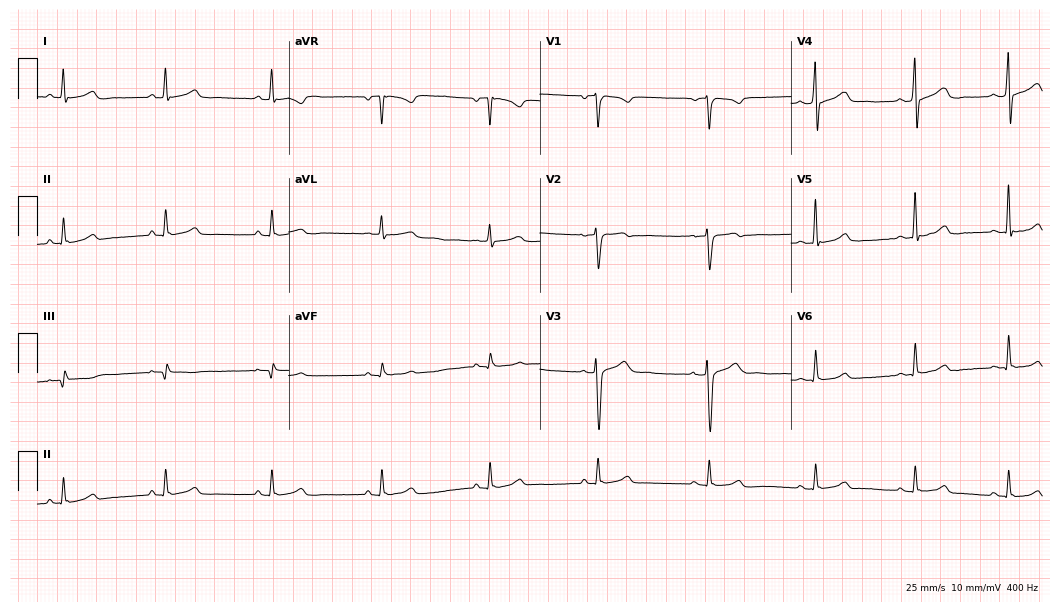
Standard 12-lead ECG recorded from a male patient, 47 years old (10.2-second recording at 400 Hz). None of these six findings is recorded: first-degree AV block, right bundle branch block, left bundle branch block, sinus bradycardia, atrial fibrillation, sinus tachycardia.